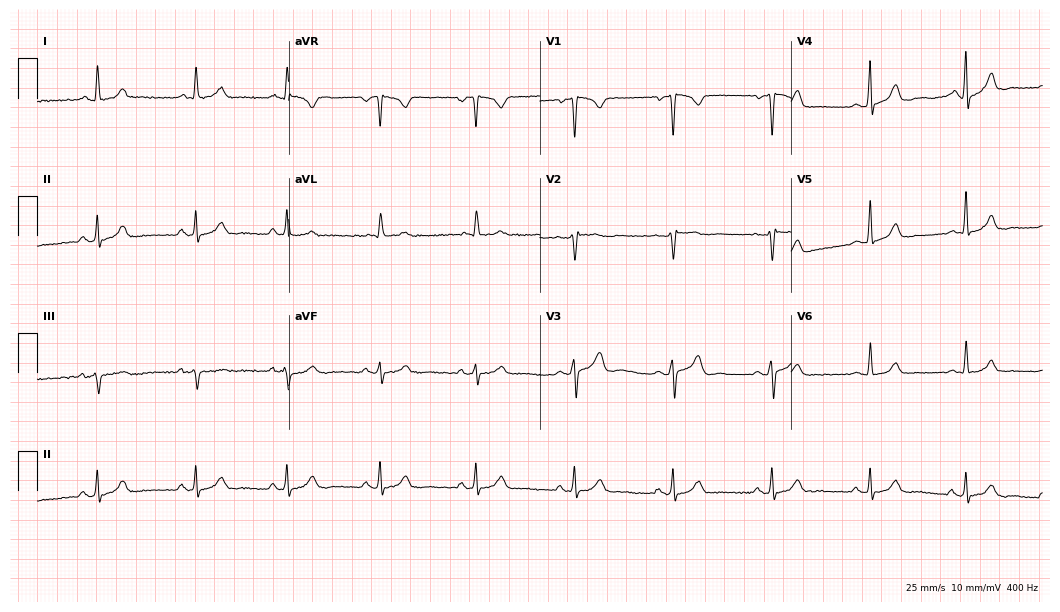
12-lead ECG from a 38-year-old female. Recorded interpretation: within normal limits.